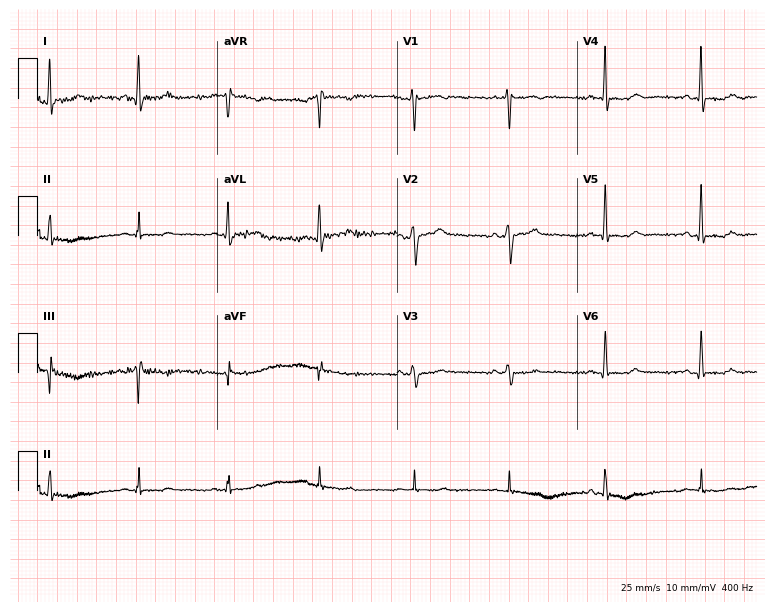
ECG — a 35-year-old female patient. Labelled as a normal ECG.